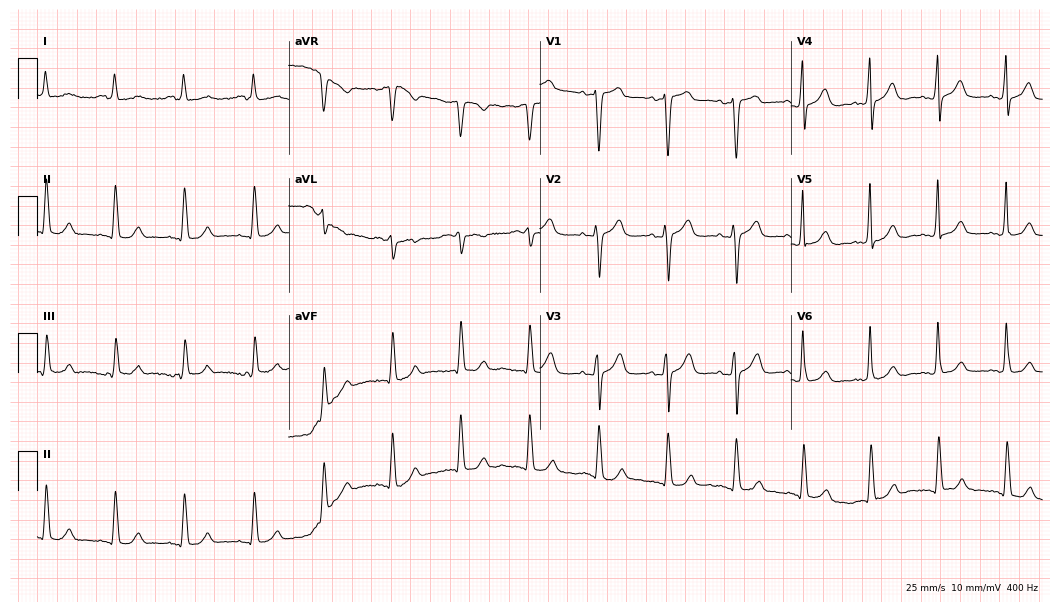
Resting 12-lead electrocardiogram. Patient: a female, 71 years old. None of these six findings is recorded: first-degree AV block, right bundle branch block, left bundle branch block, sinus bradycardia, atrial fibrillation, sinus tachycardia.